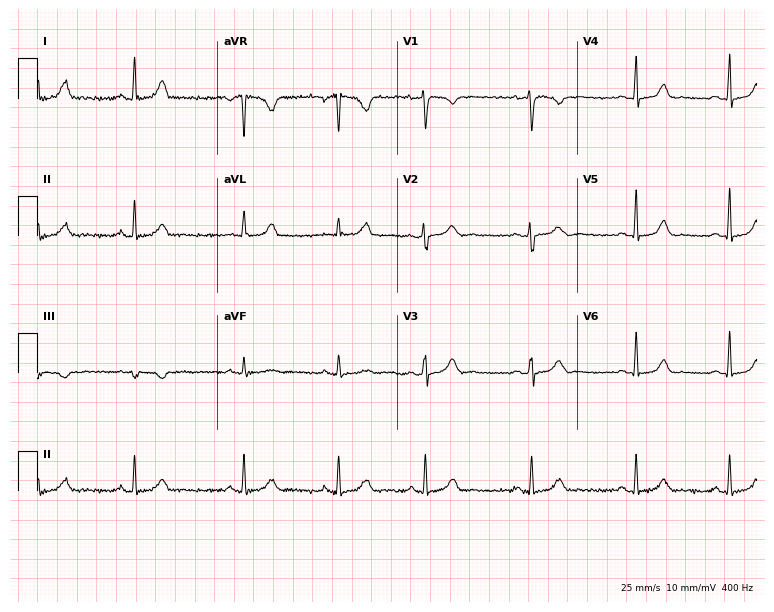
Electrocardiogram, a 36-year-old female patient. Of the six screened findings (first-degree AV block, right bundle branch block, left bundle branch block, sinus bradycardia, atrial fibrillation, sinus tachycardia), none is recorded. Findings outside these six are not listed.